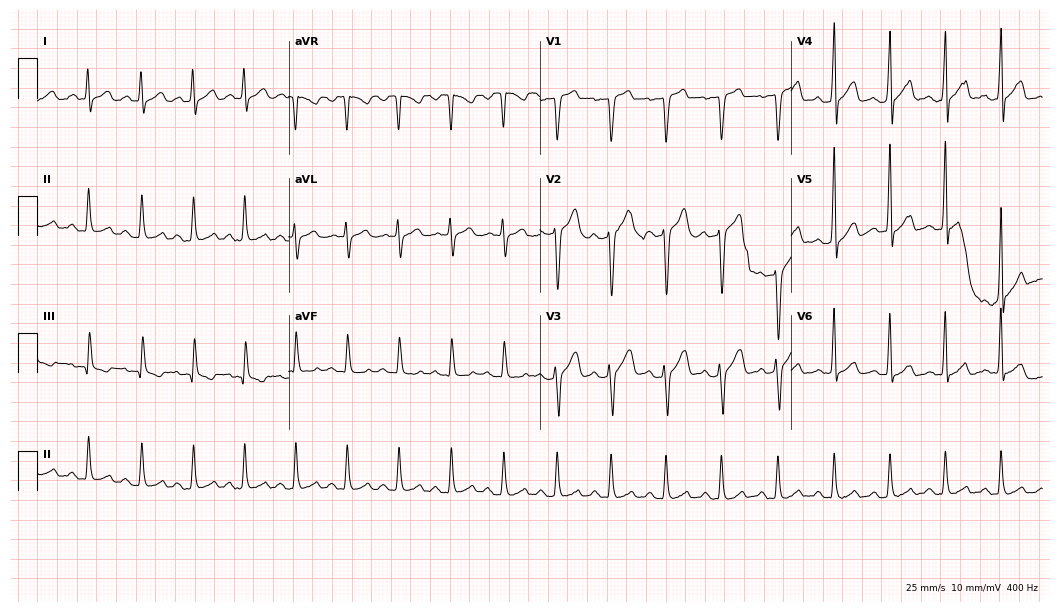
Electrocardiogram, a 31-year-old man. Interpretation includes sinus tachycardia (a sinus rate of 100 beats per minute or more).